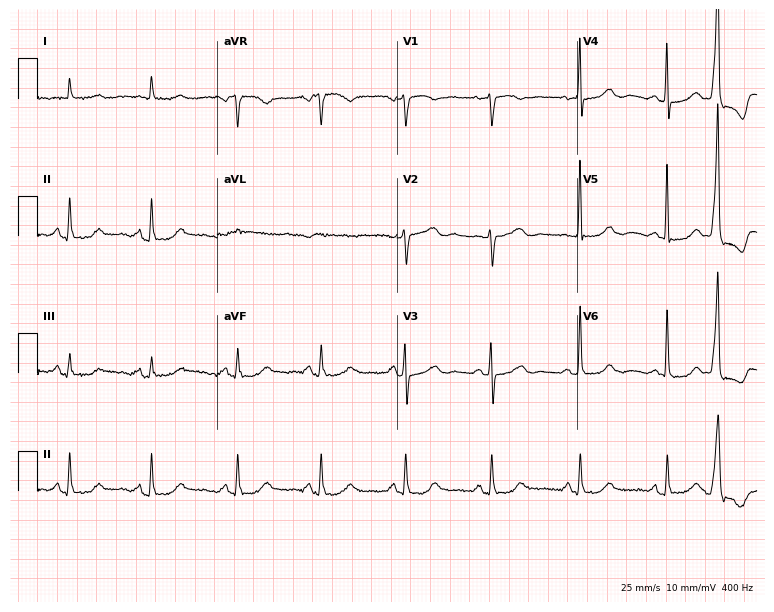
Resting 12-lead electrocardiogram (7.3-second recording at 400 Hz). Patient: a female, 83 years old. None of these six findings is recorded: first-degree AV block, right bundle branch block, left bundle branch block, sinus bradycardia, atrial fibrillation, sinus tachycardia.